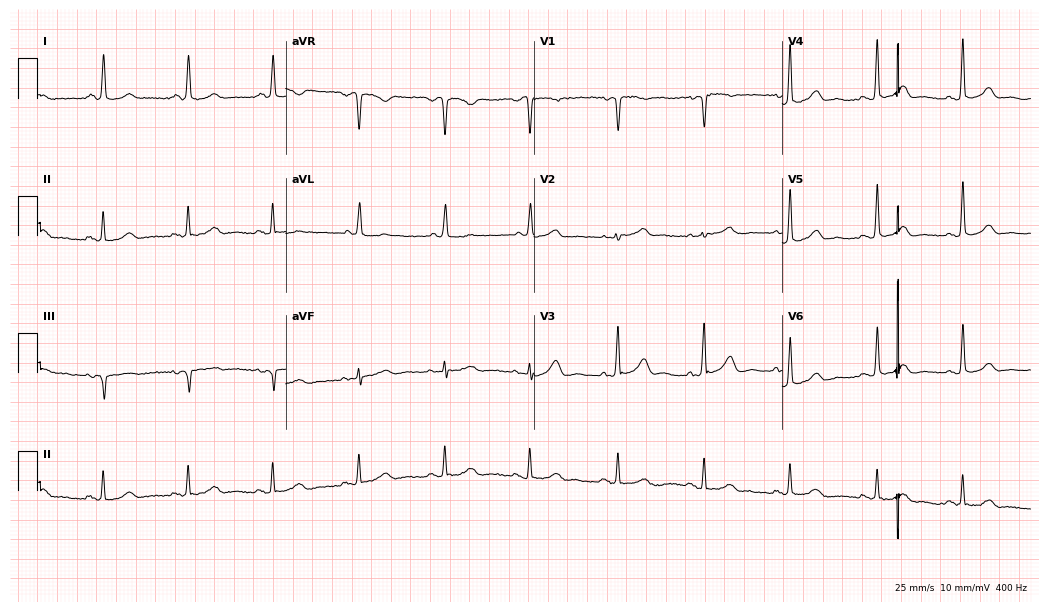
Electrocardiogram (10.1-second recording at 400 Hz), a 58-year-old female. Overall reading on record: normal ECG.